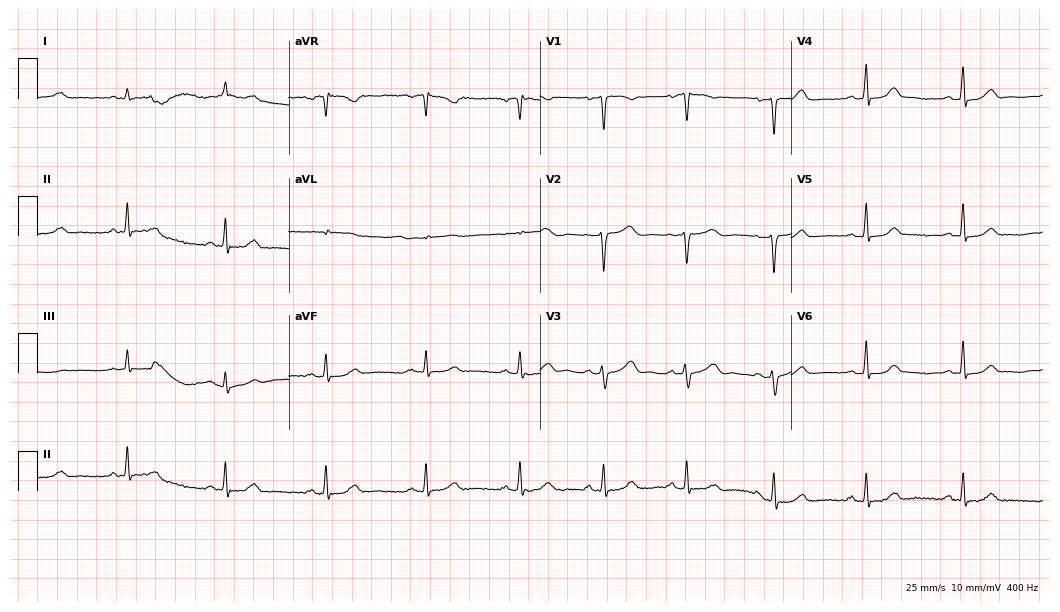
Standard 12-lead ECG recorded from a 37-year-old woman. Read as a normal ECG.